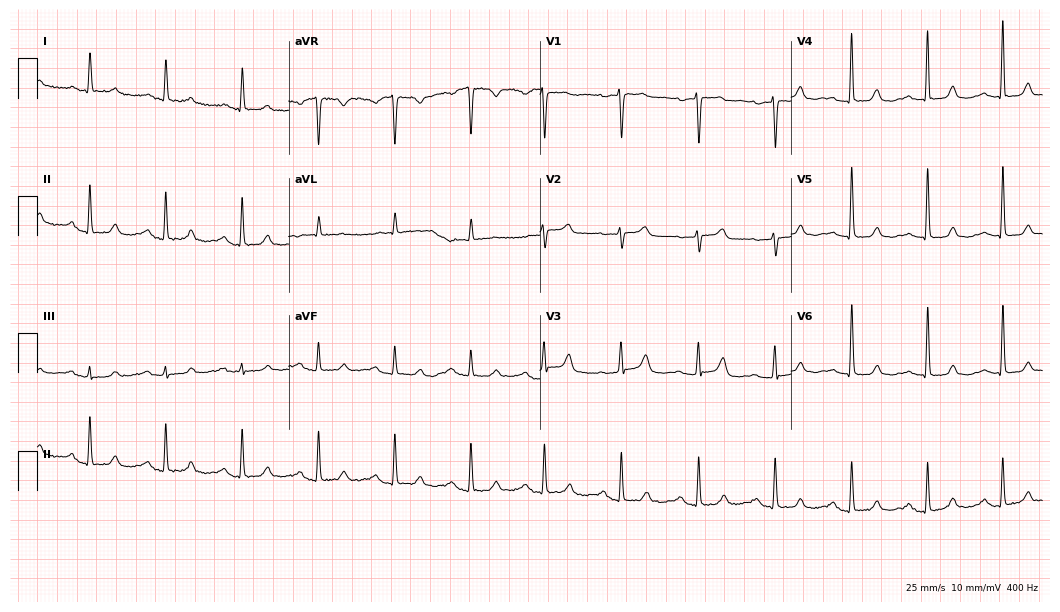
Resting 12-lead electrocardiogram. Patient: a female, 80 years old. Read as a normal ECG.